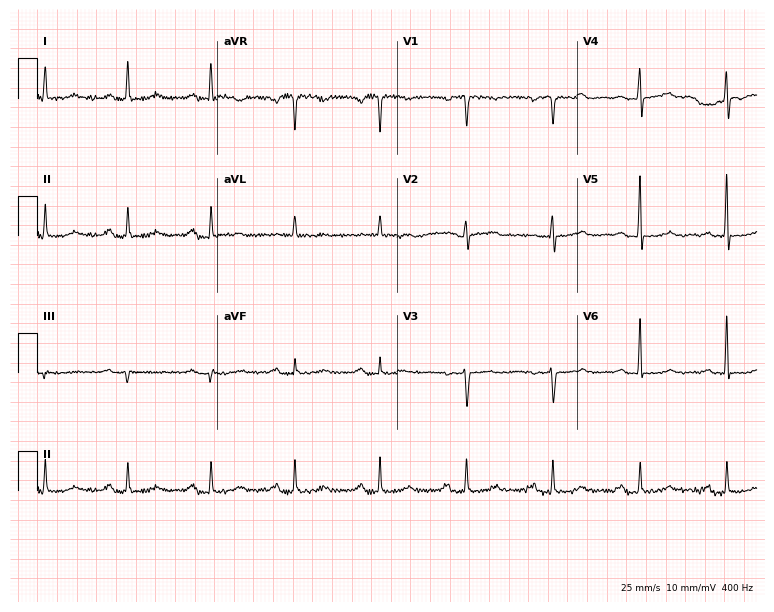
Electrocardiogram (7.3-second recording at 400 Hz), a 64-year-old woman. Interpretation includes first-degree AV block.